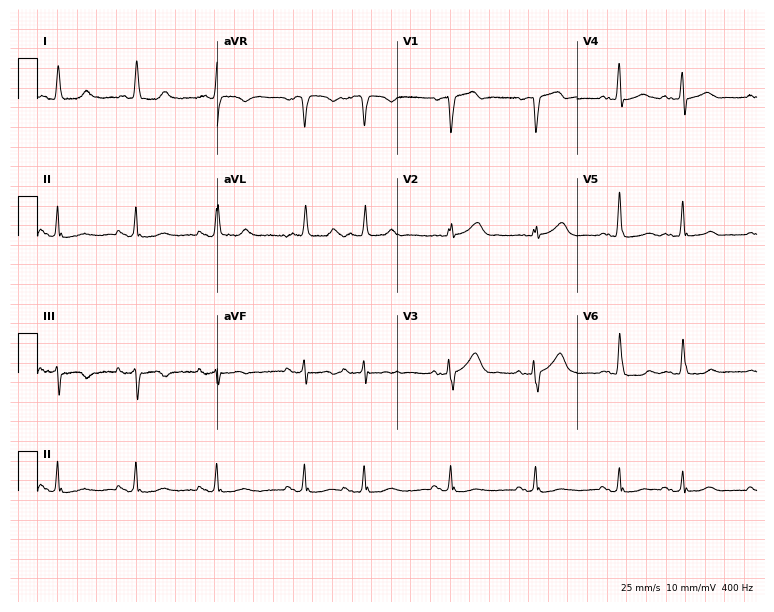
12-lead ECG (7.3-second recording at 400 Hz) from a 79-year-old male patient. Labelled as a normal ECG.